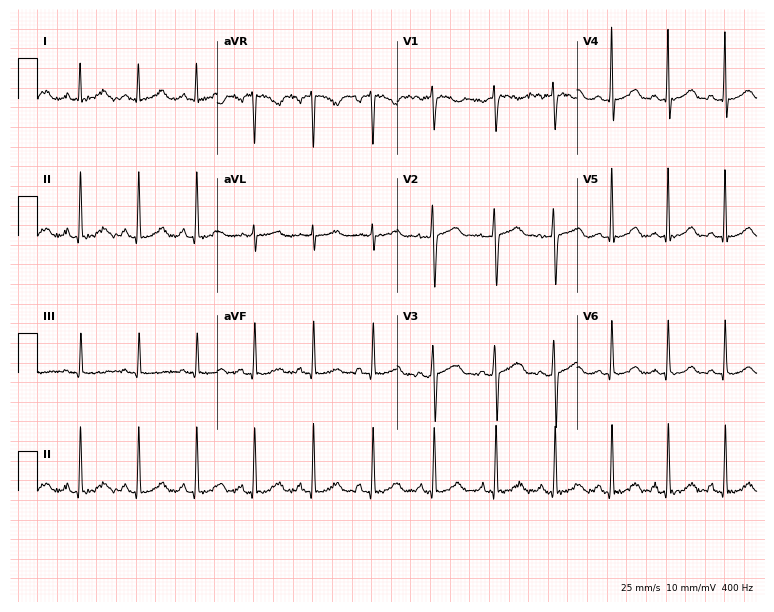
ECG — a 24-year-old female patient. Findings include sinus tachycardia (a sinus rate of 100 beats per minute or more).